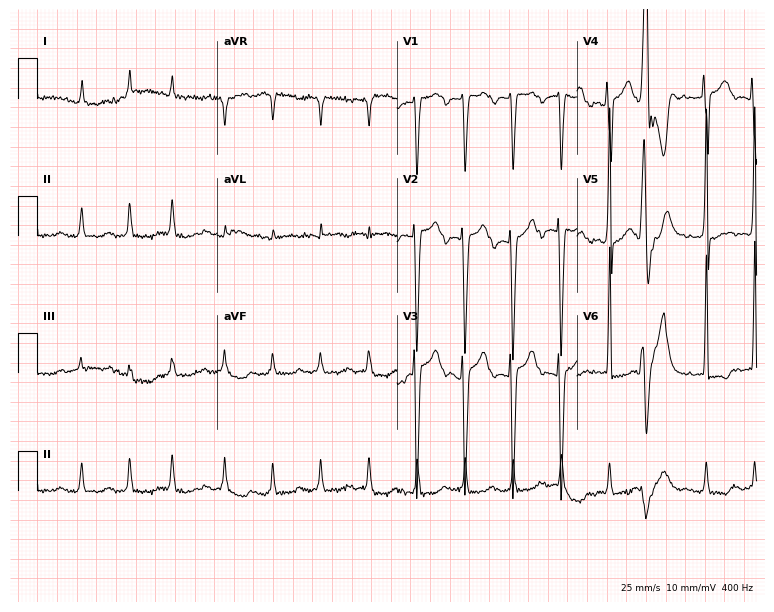
Electrocardiogram (7.3-second recording at 400 Hz), a man, 64 years old. Of the six screened findings (first-degree AV block, right bundle branch block (RBBB), left bundle branch block (LBBB), sinus bradycardia, atrial fibrillation (AF), sinus tachycardia), none is recorded. Other findings, if any, are not listed.